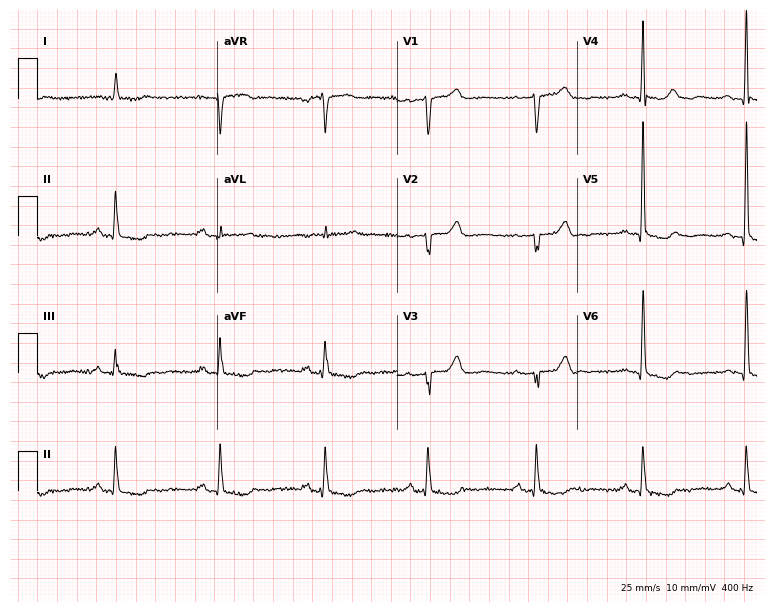
Resting 12-lead electrocardiogram (7.3-second recording at 400 Hz). Patient: a woman, 74 years old. None of these six findings is recorded: first-degree AV block, right bundle branch block, left bundle branch block, sinus bradycardia, atrial fibrillation, sinus tachycardia. Findings outside these six are not listed.